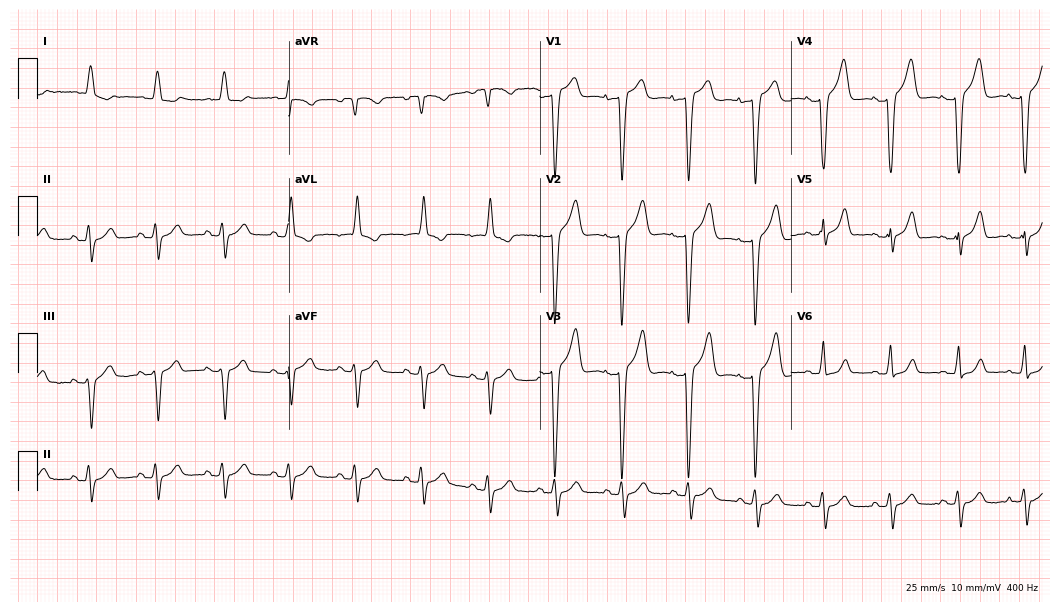
12-lead ECG from an 83-year-old woman. No first-degree AV block, right bundle branch block (RBBB), left bundle branch block (LBBB), sinus bradycardia, atrial fibrillation (AF) or sinus tachycardia recorded for this tracing.